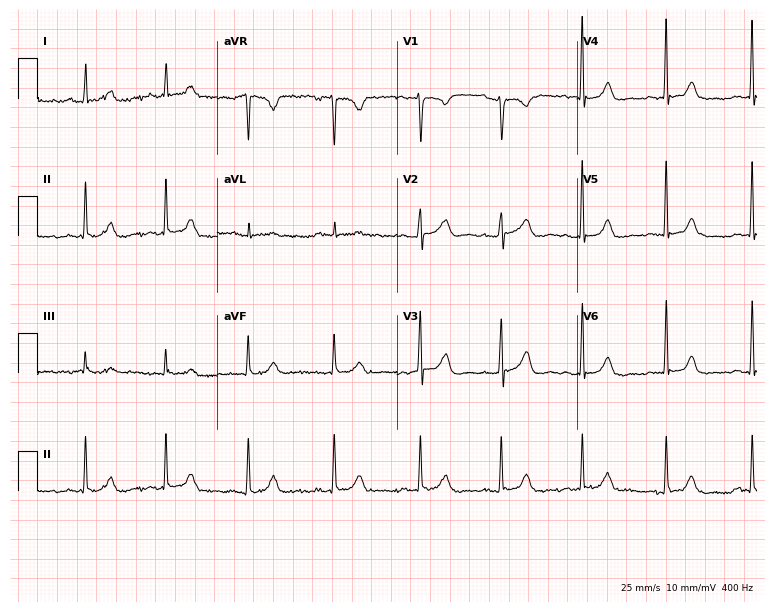
12-lead ECG from a 36-year-old female patient (7.3-second recording at 400 Hz). No first-degree AV block, right bundle branch block, left bundle branch block, sinus bradycardia, atrial fibrillation or sinus tachycardia recorded for this tracing.